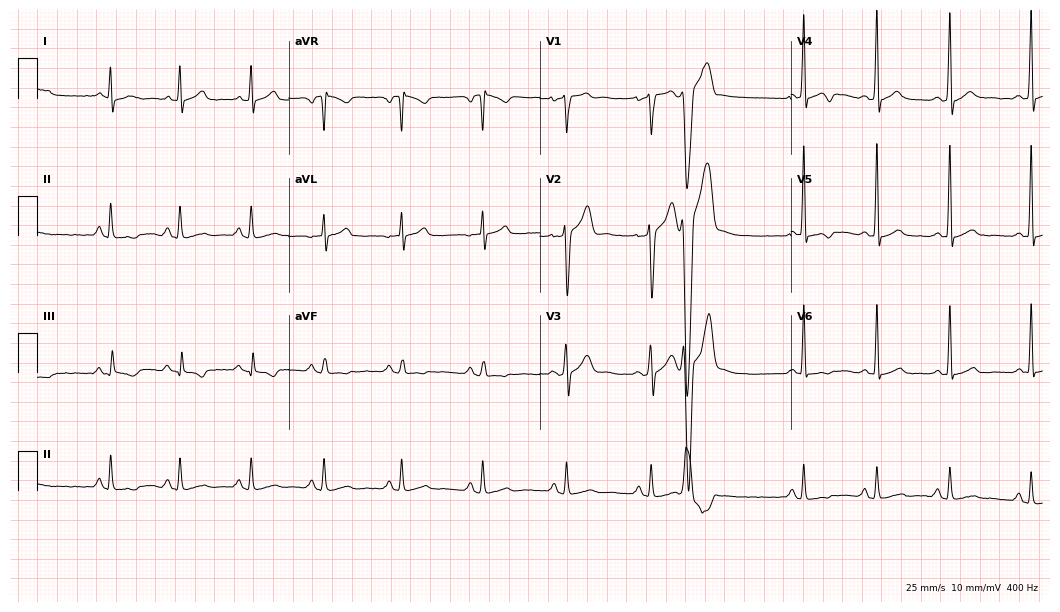
12-lead ECG from a male patient, 24 years old. No first-degree AV block, right bundle branch block, left bundle branch block, sinus bradycardia, atrial fibrillation or sinus tachycardia recorded for this tracing.